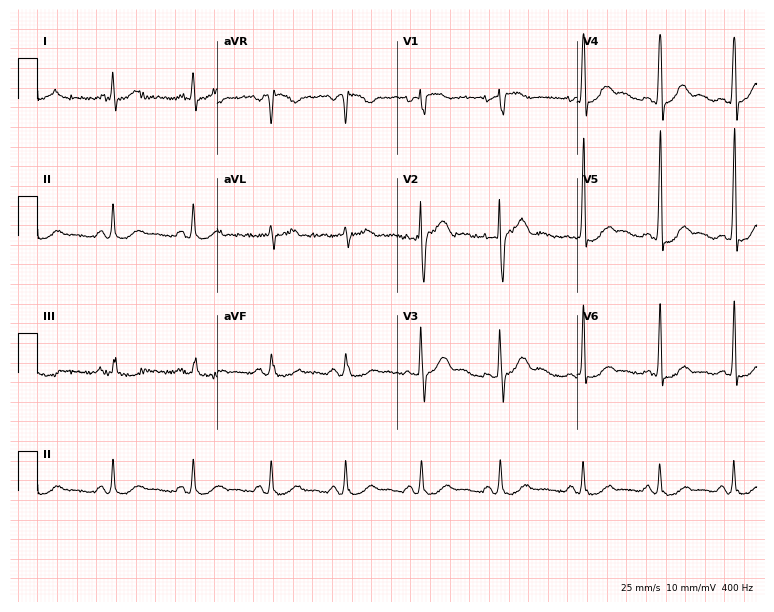
12-lead ECG from a male, 39 years old. No first-degree AV block, right bundle branch block, left bundle branch block, sinus bradycardia, atrial fibrillation or sinus tachycardia recorded for this tracing.